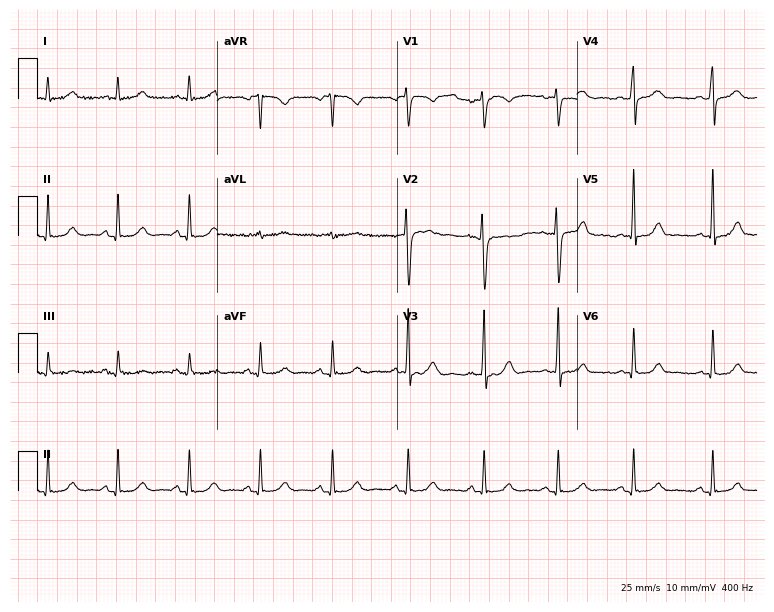
Resting 12-lead electrocardiogram (7.3-second recording at 400 Hz). Patient: a female, 29 years old. None of these six findings is recorded: first-degree AV block, right bundle branch block (RBBB), left bundle branch block (LBBB), sinus bradycardia, atrial fibrillation (AF), sinus tachycardia. Only these six findings were labelled.